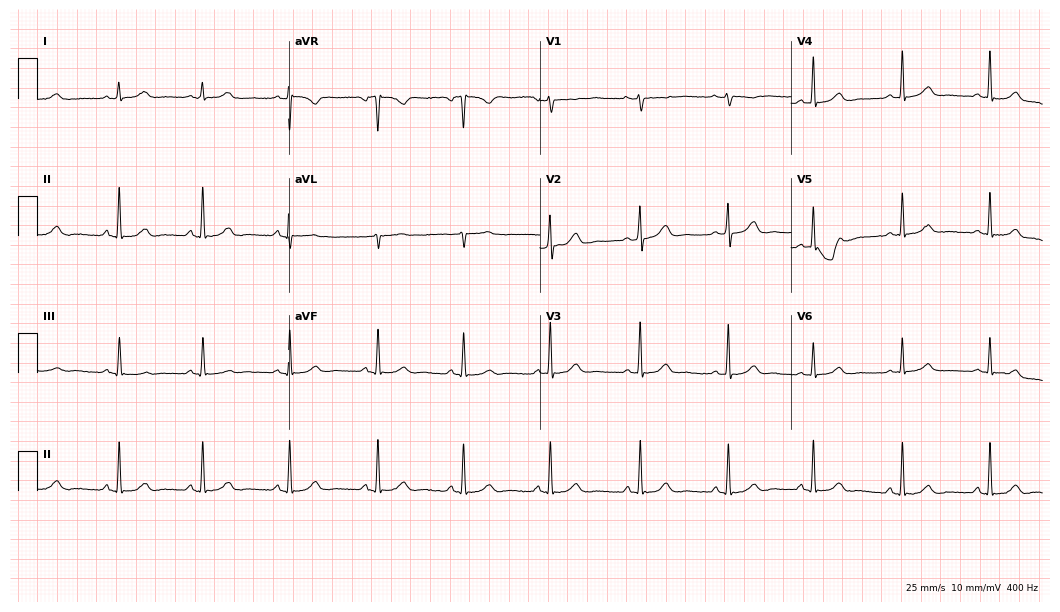
12-lead ECG (10.2-second recording at 400 Hz) from a 29-year-old female. Labelled as a normal ECG.